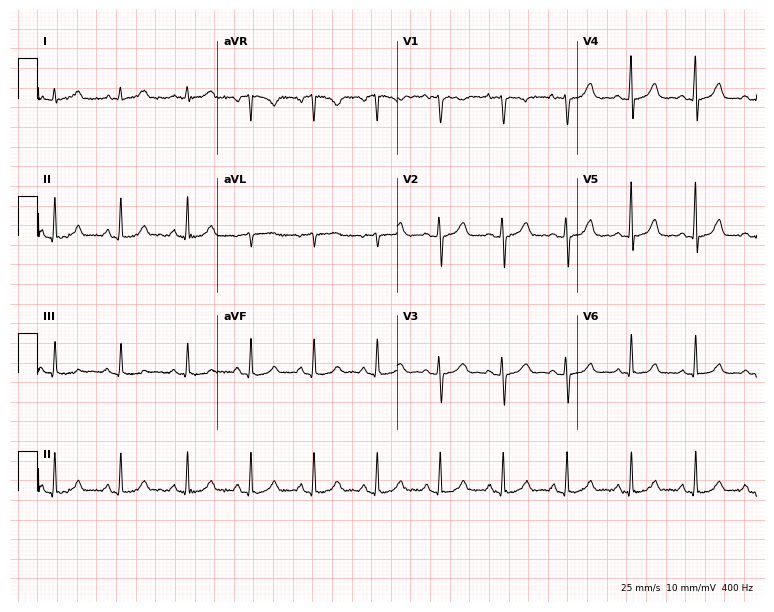
Electrocardiogram (7.3-second recording at 400 Hz), a 47-year-old woman. Overall reading on record: normal ECG.